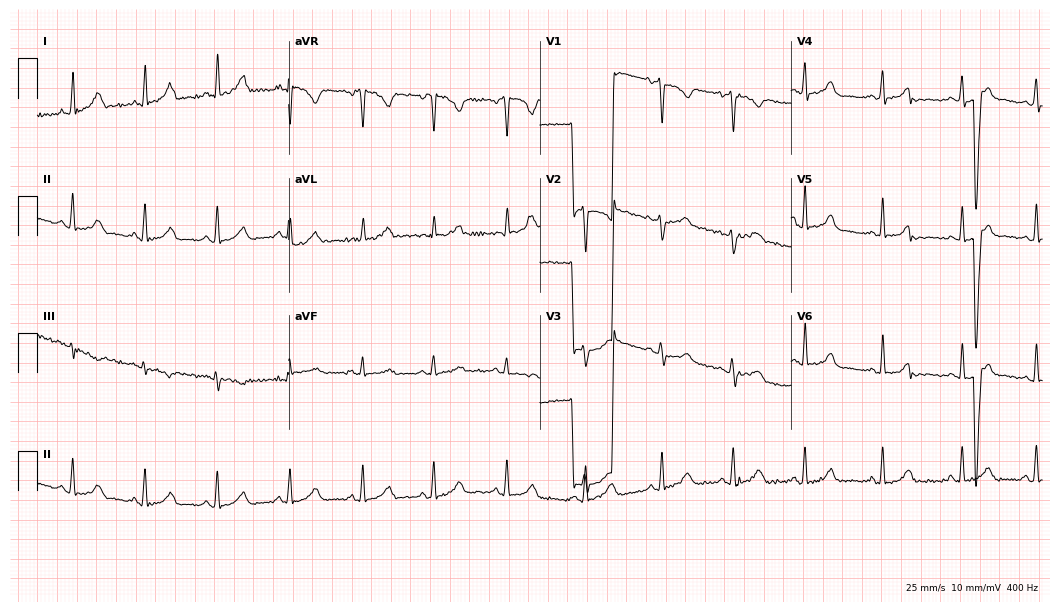
ECG (10.2-second recording at 400 Hz) — a female patient, 38 years old. Screened for six findings — first-degree AV block, right bundle branch block, left bundle branch block, sinus bradycardia, atrial fibrillation, sinus tachycardia — none is recorded.